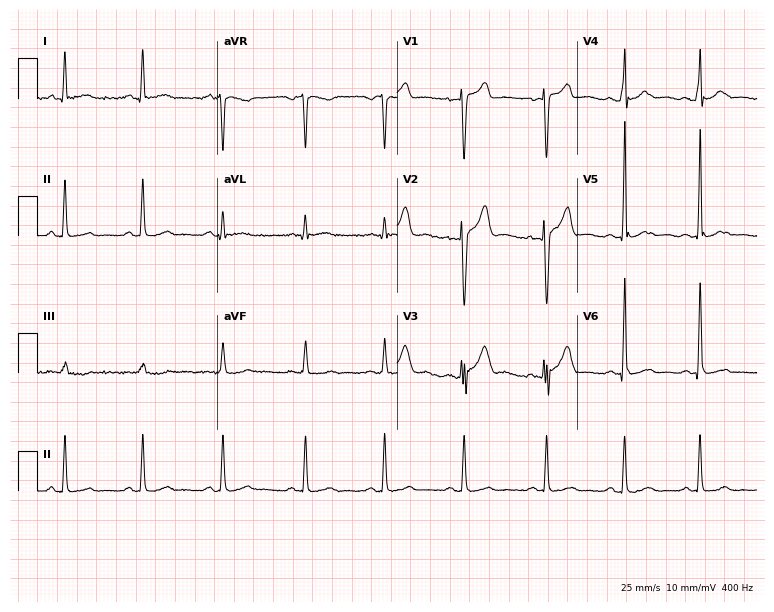
12-lead ECG from a 23-year-old male. Recorded interpretation: within normal limits.